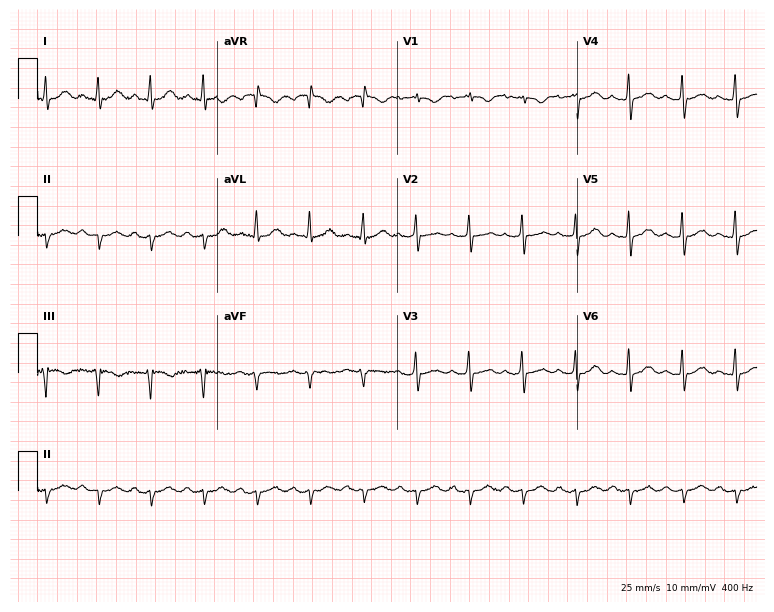
Standard 12-lead ECG recorded from a 57-year-old female (7.3-second recording at 400 Hz). The tracing shows sinus tachycardia (a sinus rate of 100 beats per minute or more).